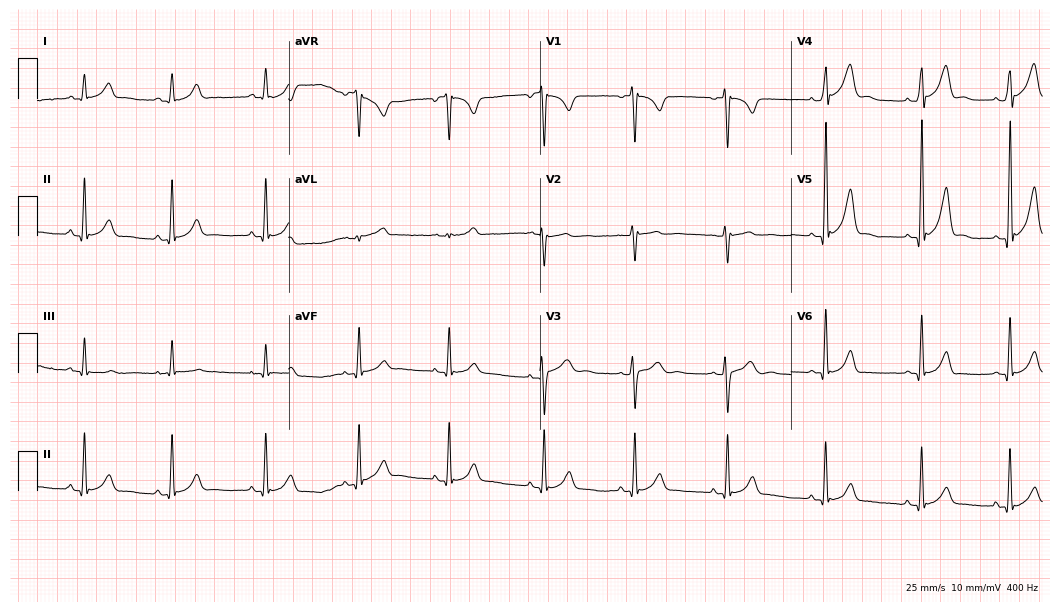
12-lead ECG from an 18-year-old male patient. Screened for six findings — first-degree AV block, right bundle branch block, left bundle branch block, sinus bradycardia, atrial fibrillation, sinus tachycardia — none is recorded.